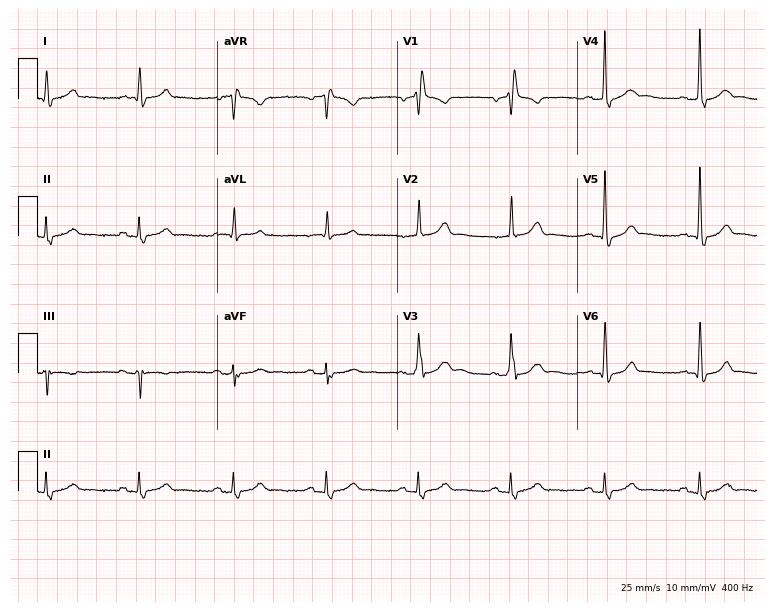
12-lead ECG from a male patient, 76 years old. Shows right bundle branch block.